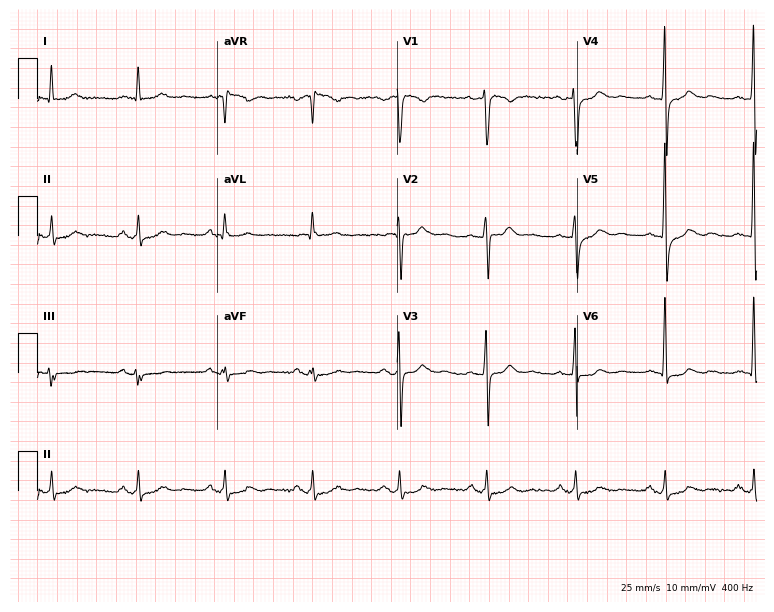
12-lead ECG (7.3-second recording at 400 Hz) from a male, 57 years old. Screened for six findings — first-degree AV block, right bundle branch block, left bundle branch block, sinus bradycardia, atrial fibrillation, sinus tachycardia — none is recorded. Findings outside these six are not listed.